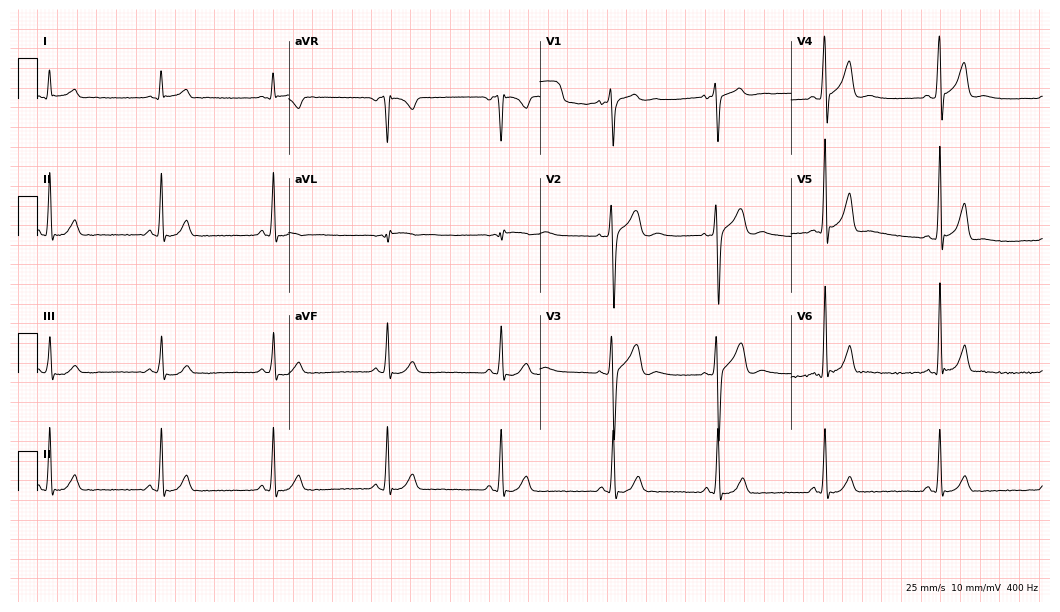
12-lead ECG from a 24-year-old male (10.2-second recording at 400 Hz). No first-degree AV block, right bundle branch block (RBBB), left bundle branch block (LBBB), sinus bradycardia, atrial fibrillation (AF) or sinus tachycardia recorded for this tracing. Only these six findings were labelled.